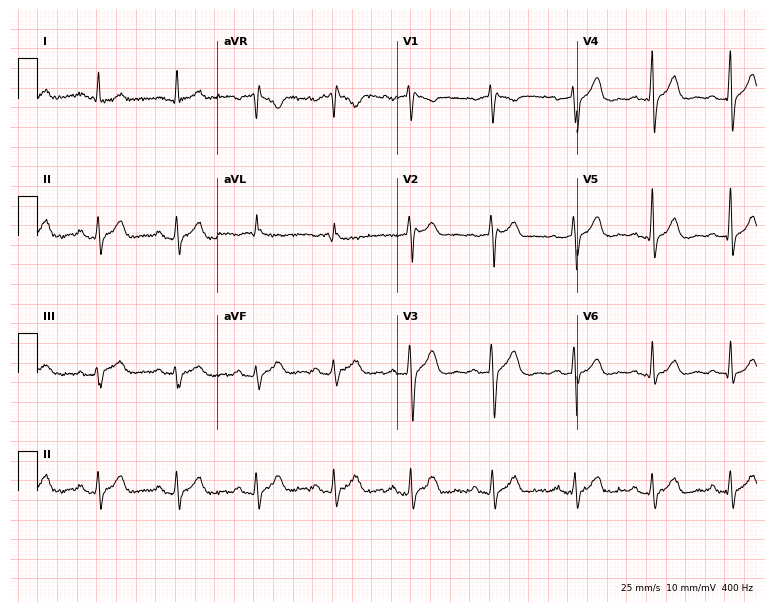
Electrocardiogram, a male, 41 years old. Overall reading on record: normal ECG.